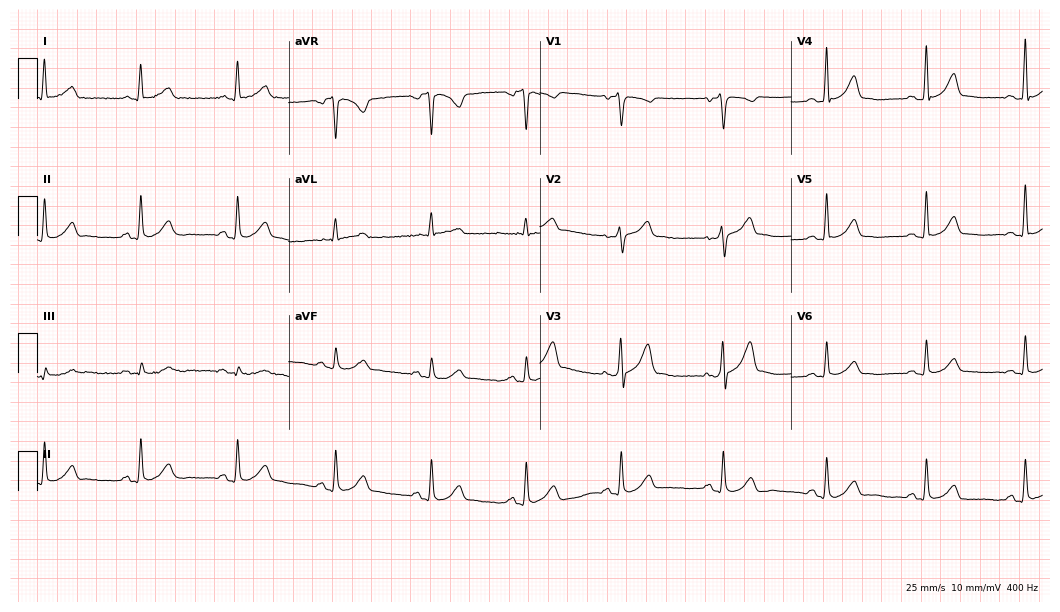
ECG (10.2-second recording at 400 Hz) — a male patient, 32 years old. Labelled as a normal ECG.